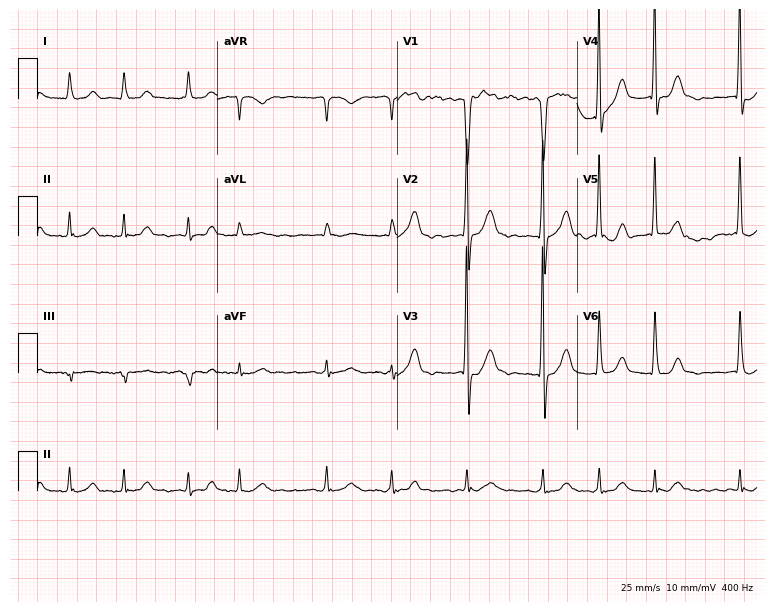
ECG (7.3-second recording at 400 Hz) — a 77-year-old male. Findings include atrial fibrillation (AF).